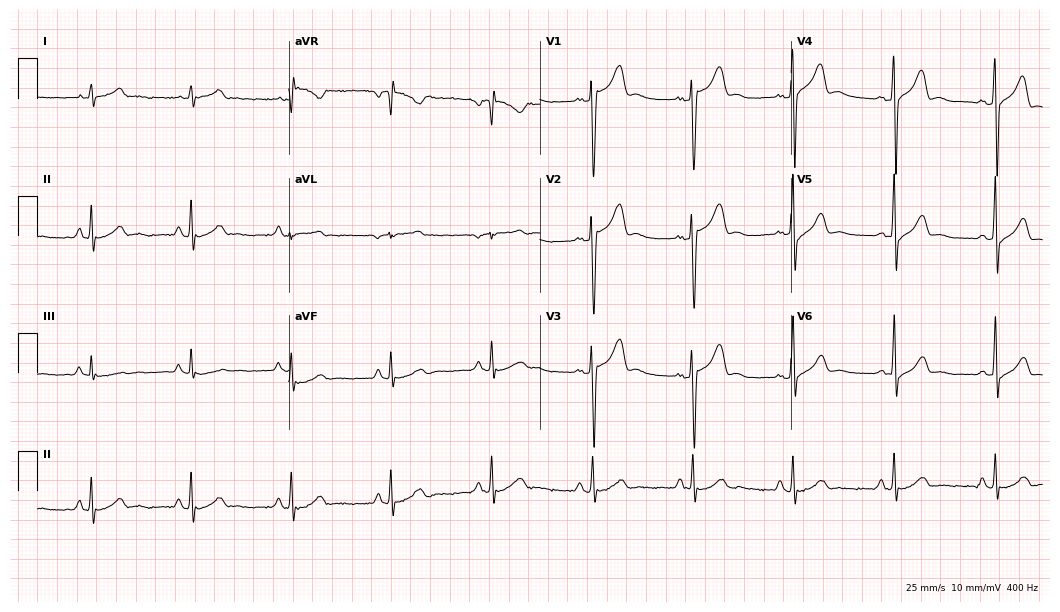
ECG — a 36-year-old man. Screened for six findings — first-degree AV block, right bundle branch block (RBBB), left bundle branch block (LBBB), sinus bradycardia, atrial fibrillation (AF), sinus tachycardia — none is recorded. Other findings, if any, are not listed.